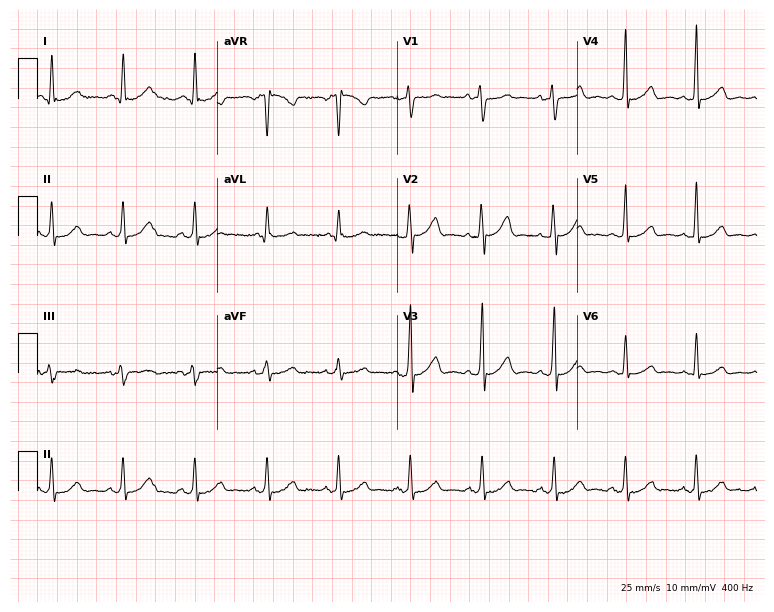
Standard 12-lead ECG recorded from a woman, 52 years old (7.3-second recording at 400 Hz). Read as a normal ECG.